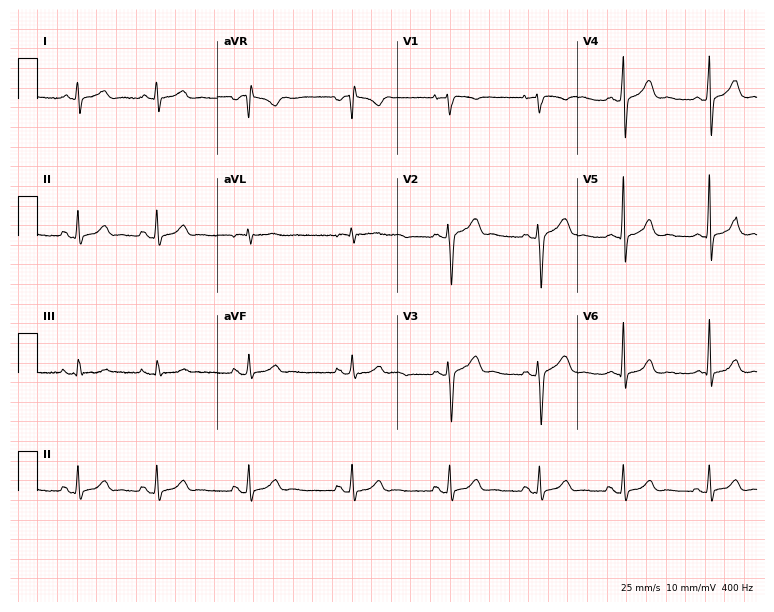
Standard 12-lead ECG recorded from a female, 21 years old (7.3-second recording at 400 Hz). None of these six findings is recorded: first-degree AV block, right bundle branch block (RBBB), left bundle branch block (LBBB), sinus bradycardia, atrial fibrillation (AF), sinus tachycardia.